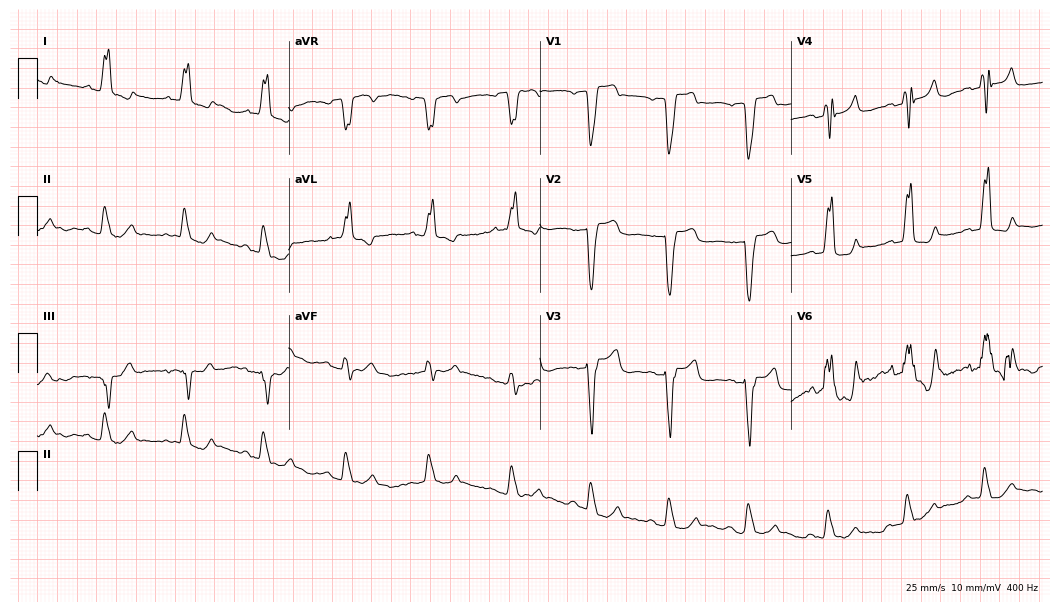
ECG (10.2-second recording at 400 Hz) — a female patient, 75 years old. Findings include left bundle branch block.